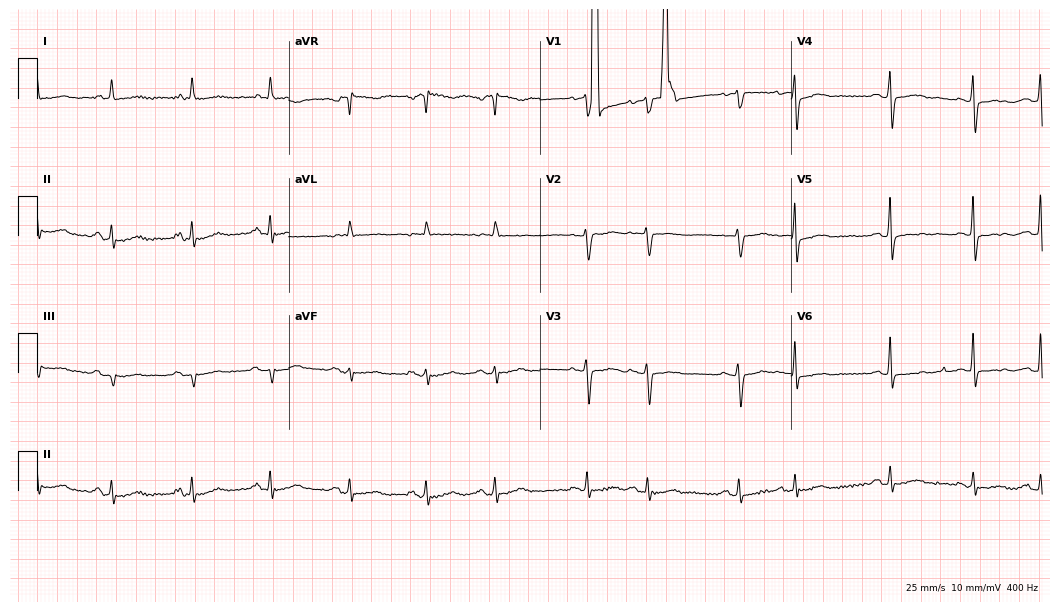
12-lead ECG (10.2-second recording at 400 Hz) from a 73-year-old woman. Screened for six findings — first-degree AV block, right bundle branch block (RBBB), left bundle branch block (LBBB), sinus bradycardia, atrial fibrillation (AF), sinus tachycardia — none is recorded.